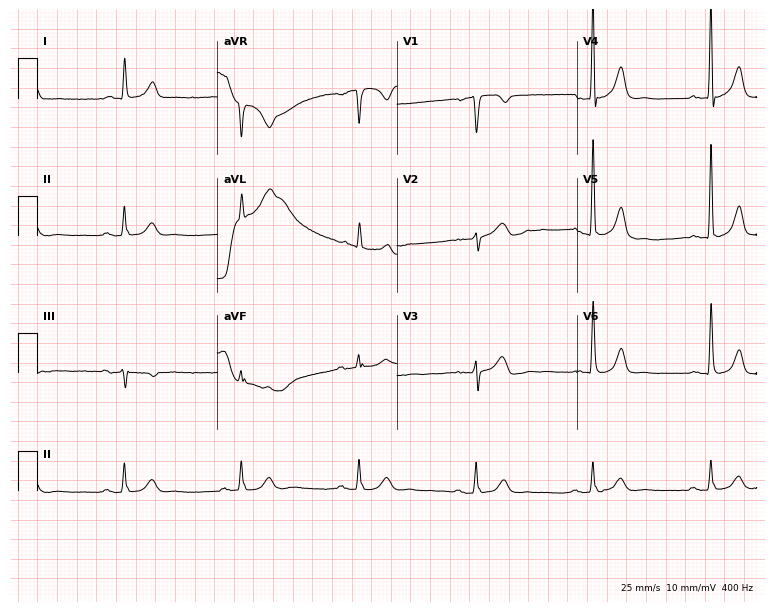
Resting 12-lead electrocardiogram. Patient: a 66-year-old male. None of these six findings is recorded: first-degree AV block, right bundle branch block, left bundle branch block, sinus bradycardia, atrial fibrillation, sinus tachycardia.